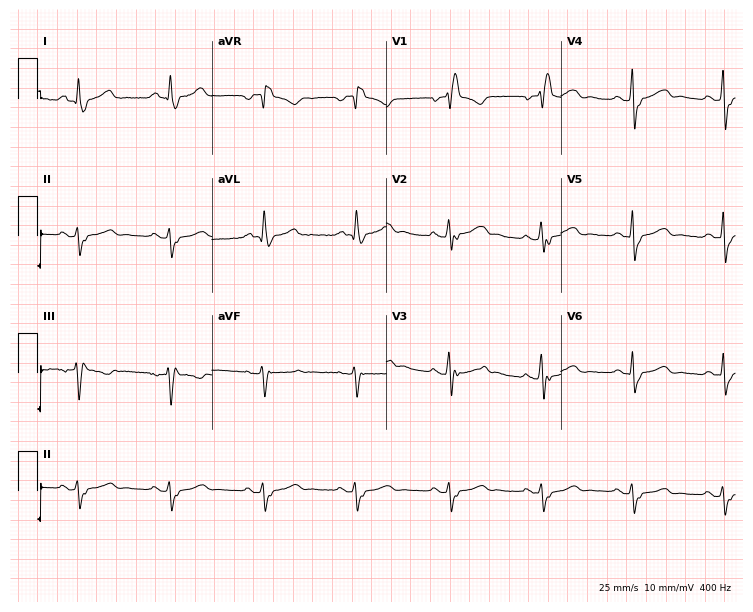
Electrocardiogram (7.1-second recording at 400 Hz), a 50-year-old woman. Interpretation includes right bundle branch block (RBBB).